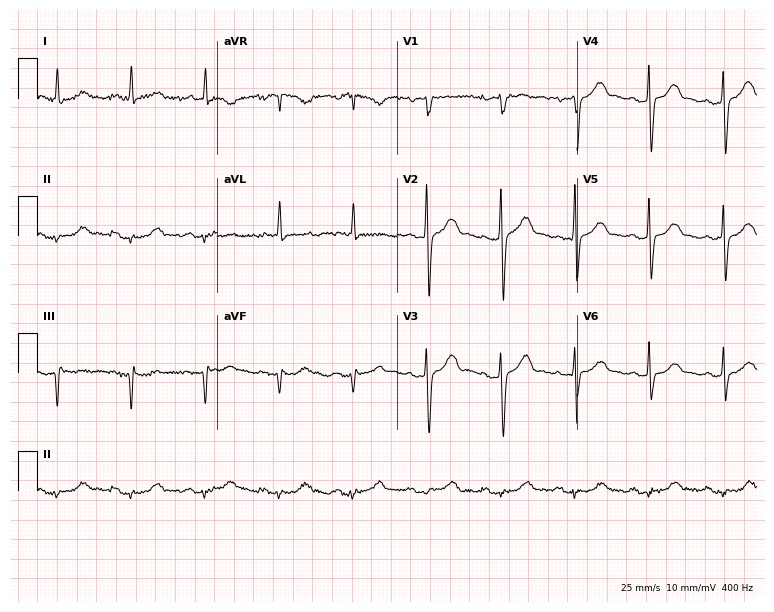
Electrocardiogram (7.3-second recording at 400 Hz), an 85-year-old male patient. Overall reading on record: normal ECG.